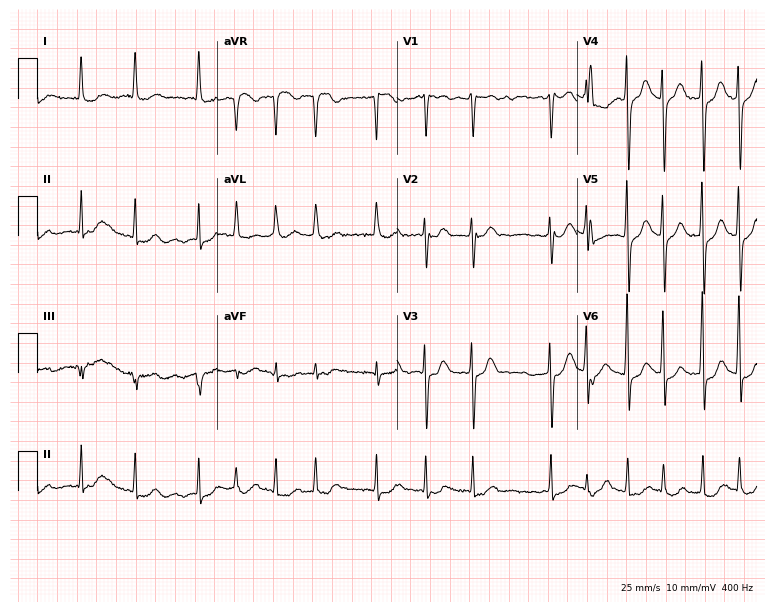
12-lead ECG from a female, 57 years old. Findings include atrial fibrillation.